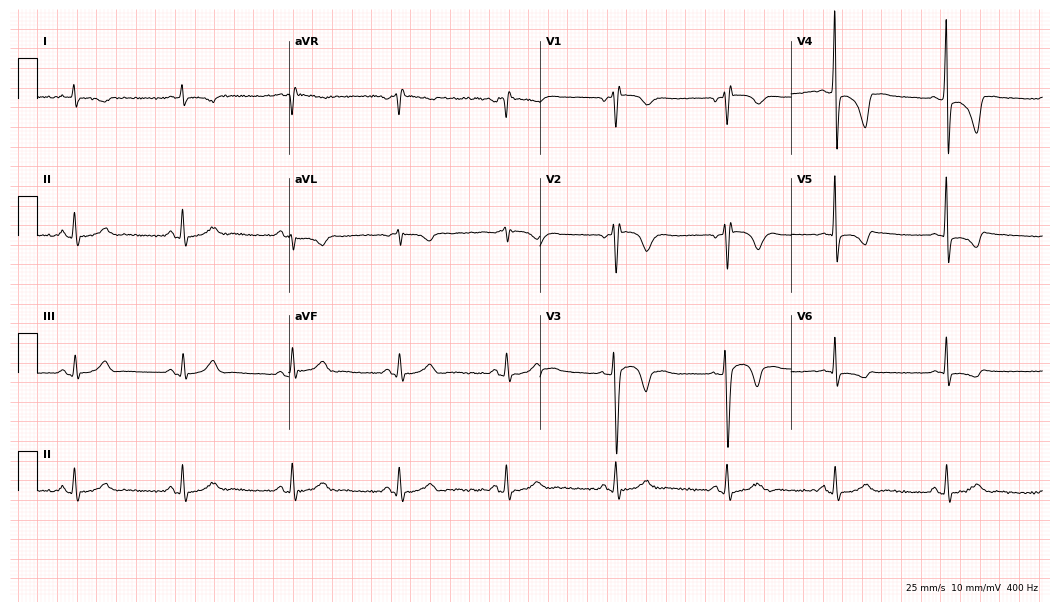
12-lead ECG from a 41-year-old male. No first-degree AV block, right bundle branch block (RBBB), left bundle branch block (LBBB), sinus bradycardia, atrial fibrillation (AF) or sinus tachycardia recorded for this tracing. Only these six findings were labelled.